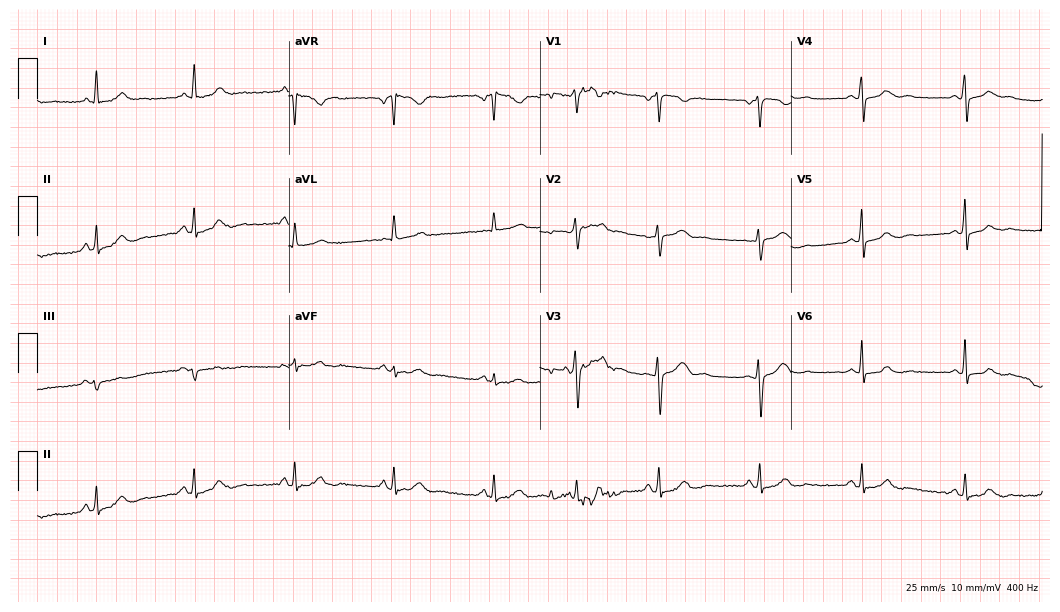
ECG (10.2-second recording at 400 Hz) — a woman, 40 years old. Screened for six findings — first-degree AV block, right bundle branch block, left bundle branch block, sinus bradycardia, atrial fibrillation, sinus tachycardia — none is recorded. Other findings, if any, are not listed.